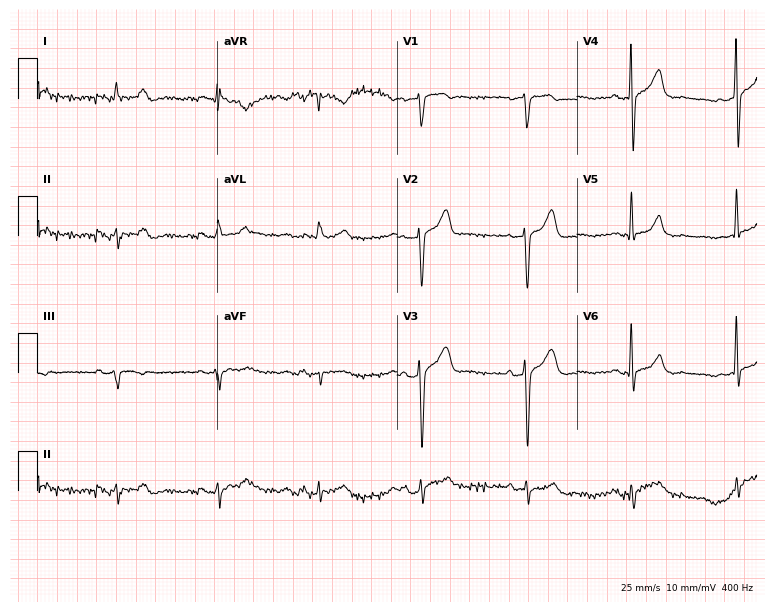
Resting 12-lead electrocardiogram. Patient: a man, 72 years old. Read as a normal ECG.